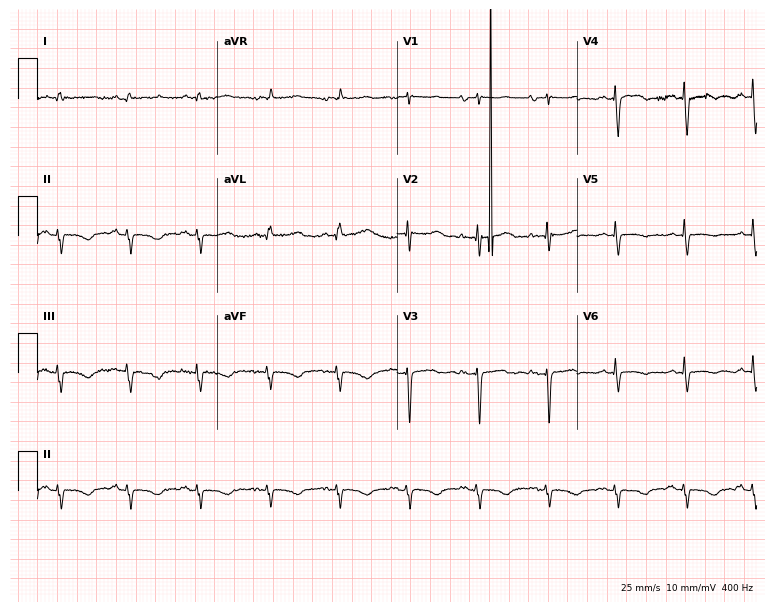
Electrocardiogram (7.3-second recording at 400 Hz), a 71-year-old female. Of the six screened findings (first-degree AV block, right bundle branch block, left bundle branch block, sinus bradycardia, atrial fibrillation, sinus tachycardia), none is recorded.